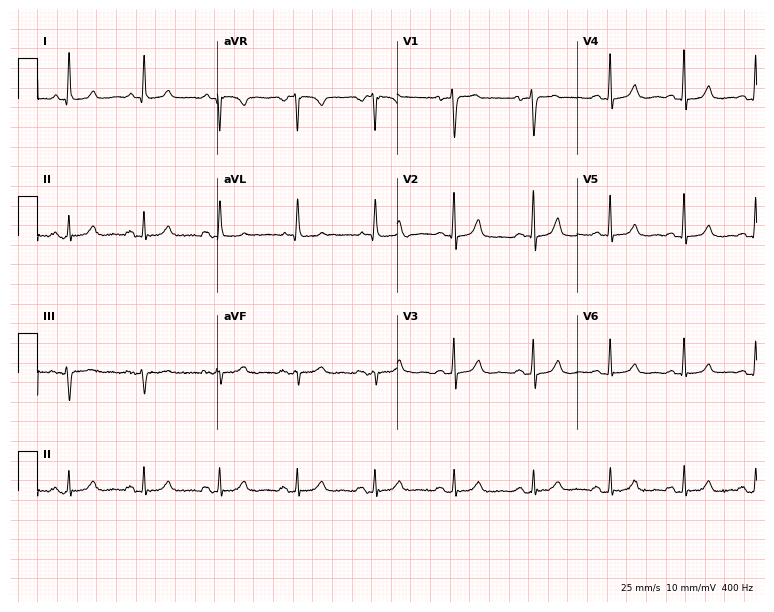
Standard 12-lead ECG recorded from a woman, 70 years old (7.3-second recording at 400 Hz). None of these six findings is recorded: first-degree AV block, right bundle branch block, left bundle branch block, sinus bradycardia, atrial fibrillation, sinus tachycardia.